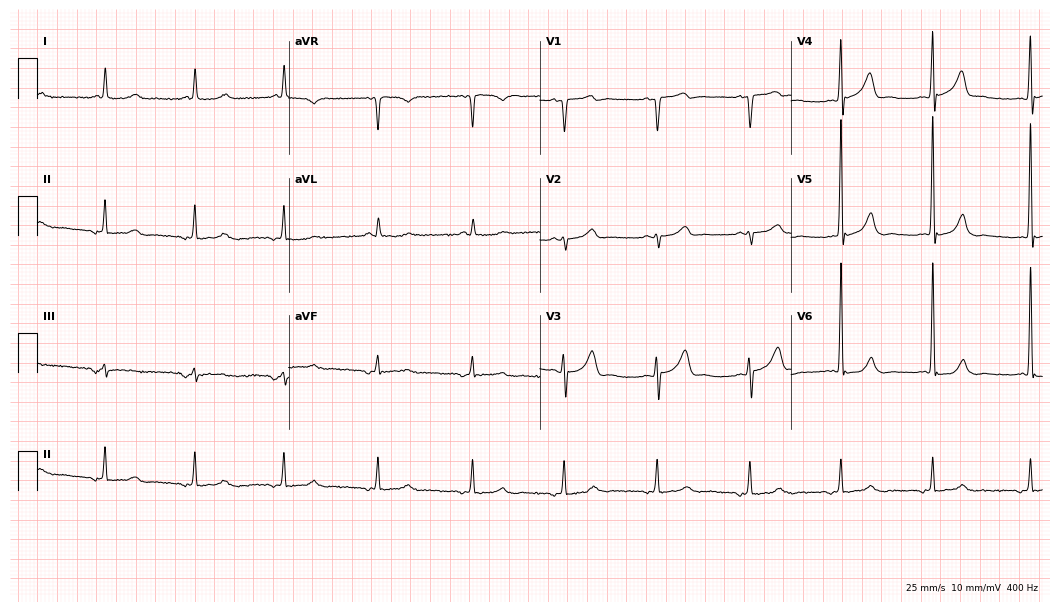
Resting 12-lead electrocardiogram (10.2-second recording at 400 Hz). Patient: a male, 70 years old. None of these six findings is recorded: first-degree AV block, right bundle branch block, left bundle branch block, sinus bradycardia, atrial fibrillation, sinus tachycardia. Other findings, if any, are not listed.